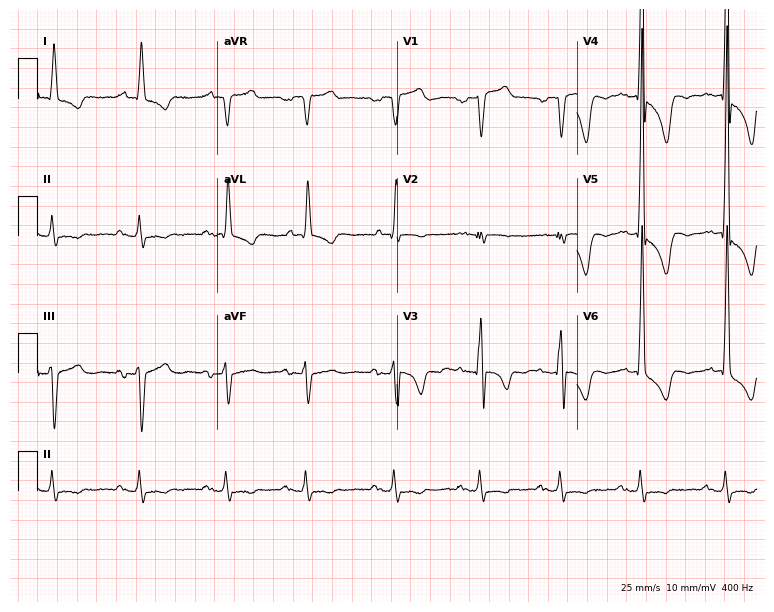
Electrocardiogram, a male, 56 years old. Of the six screened findings (first-degree AV block, right bundle branch block, left bundle branch block, sinus bradycardia, atrial fibrillation, sinus tachycardia), none is recorded.